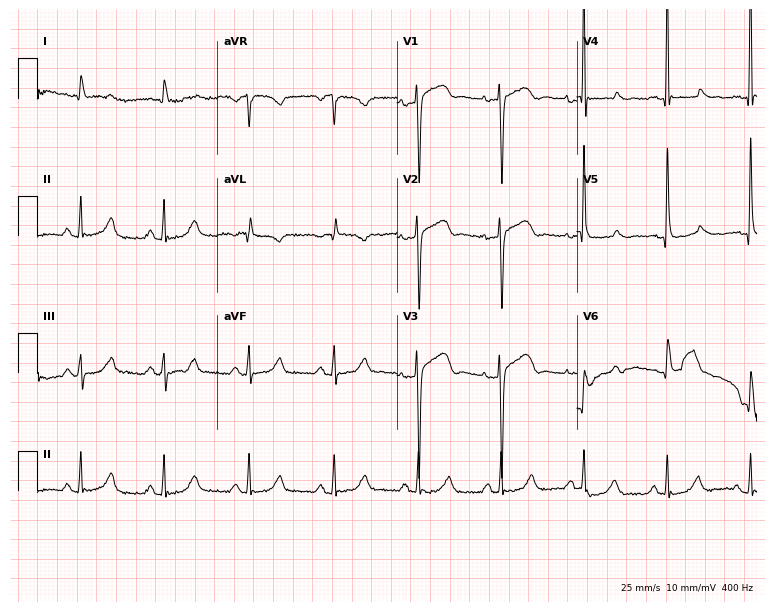
ECG — a male patient, 63 years old. Screened for six findings — first-degree AV block, right bundle branch block (RBBB), left bundle branch block (LBBB), sinus bradycardia, atrial fibrillation (AF), sinus tachycardia — none is recorded.